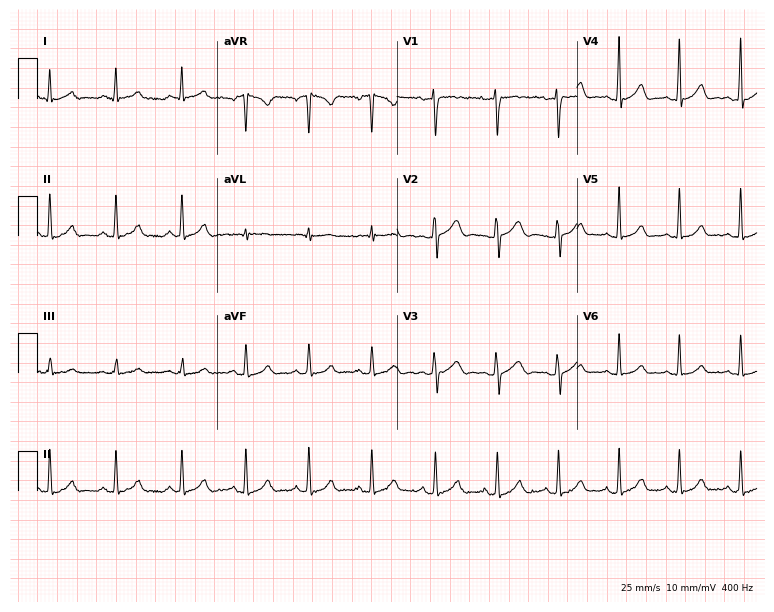
Standard 12-lead ECG recorded from a 34-year-old female (7.3-second recording at 400 Hz). Read as a normal ECG.